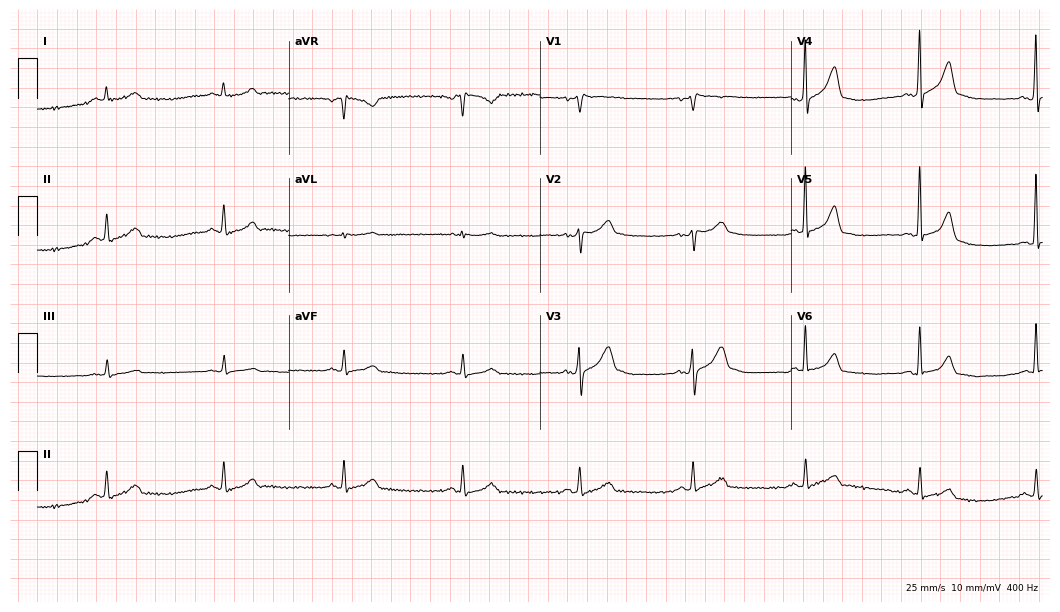
Resting 12-lead electrocardiogram (10.2-second recording at 400 Hz). Patient: a male, 68 years old. Read as a normal ECG.